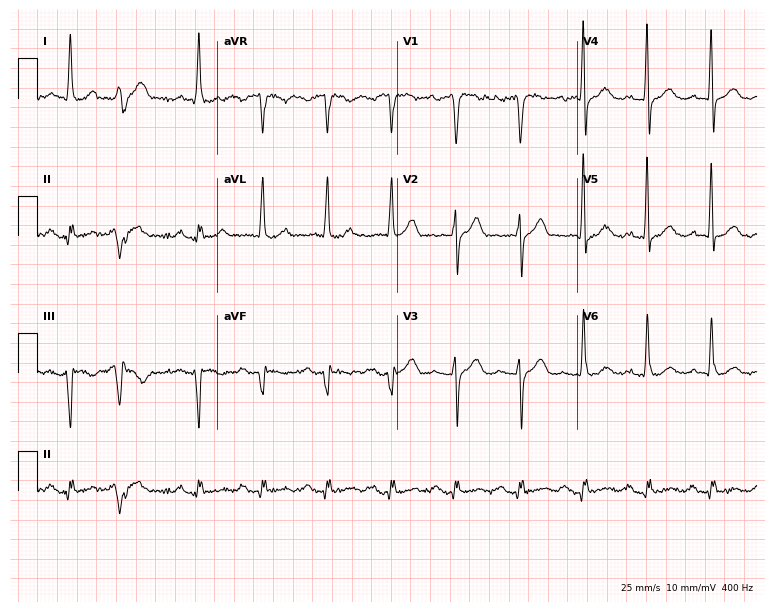
Standard 12-lead ECG recorded from an 82-year-old female. The tracing shows first-degree AV block.